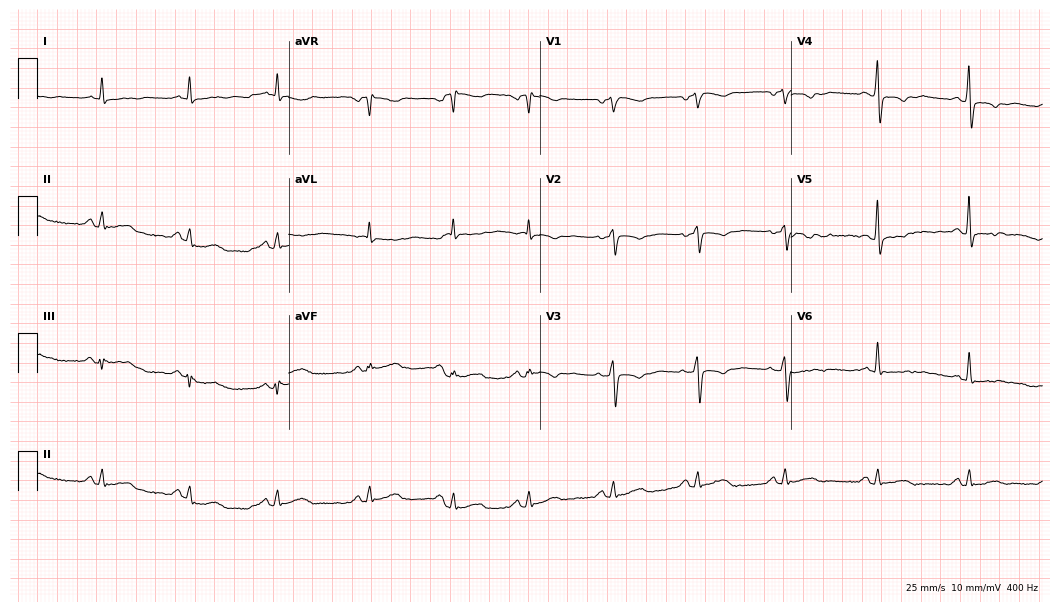
12-lead ECG from a woman, 53 years old. Screened for six findings — first-degree AV block, right bundle branch block, left bundle branch block, sinus bradycardia, atrial fibrillation, sinus tachycardia — none is recorded. Other findings, if any, are not listed.